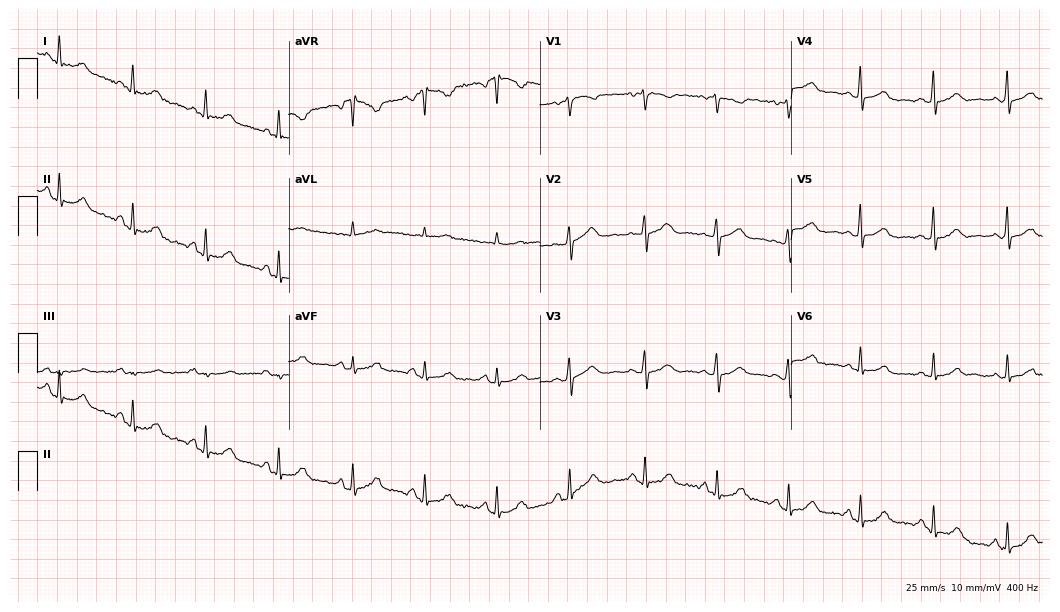
12-lead ECG from a 51-year-old female. Recorded interpretation: within normal limits.